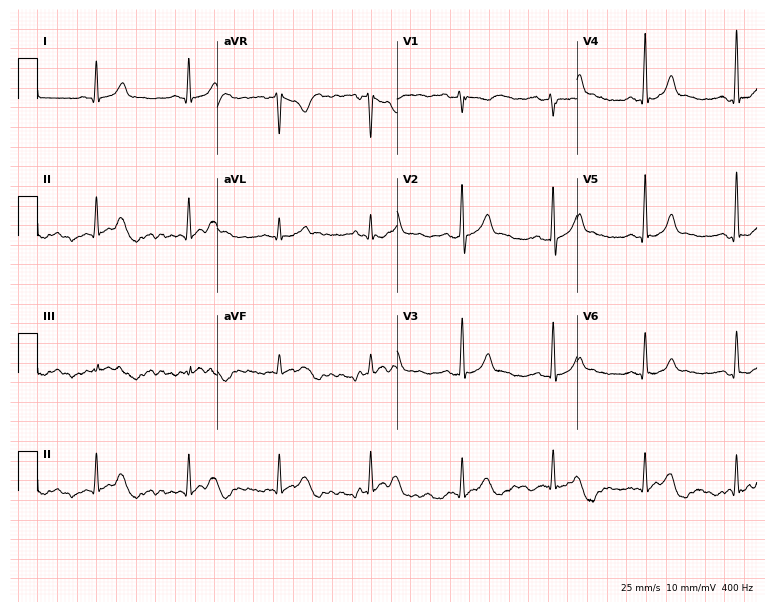
12-lead ECG from a 55-year-old male patient. Labelled as a normal ECG.